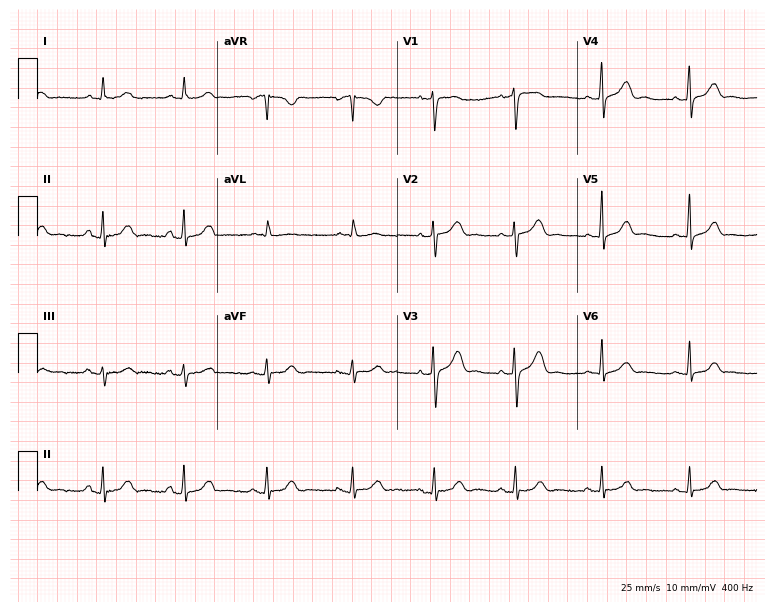
Resting 12-lead electrocardiogram (7.3-second recording at 400 Hz). Patient: a 53-year-old woman. None of these six findings is recorded: first-degree AV block, right bundle branch block, left bundle branch block, sinus bradycardia, atrial fibrillation, sinus tachycardia.